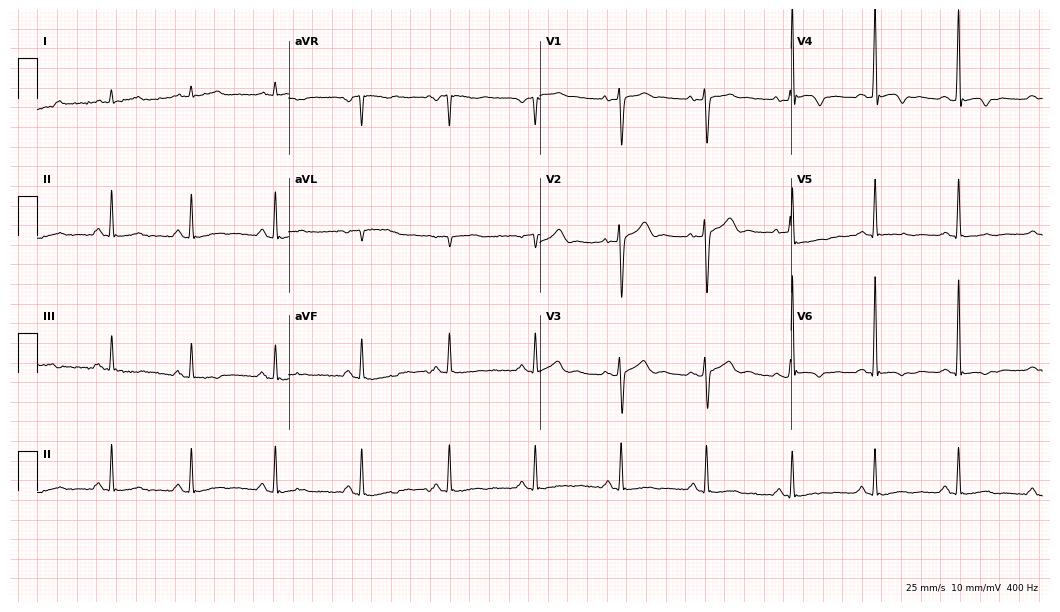
12-lead ECG from a 32-year-old male (10.2-second recording at 400 Hz). No first-degree AV block, right bundle branch block, left bundle branch block, sinus bradycardia, atrial fibrillation or sinus tachycardia recorded for this tracing.